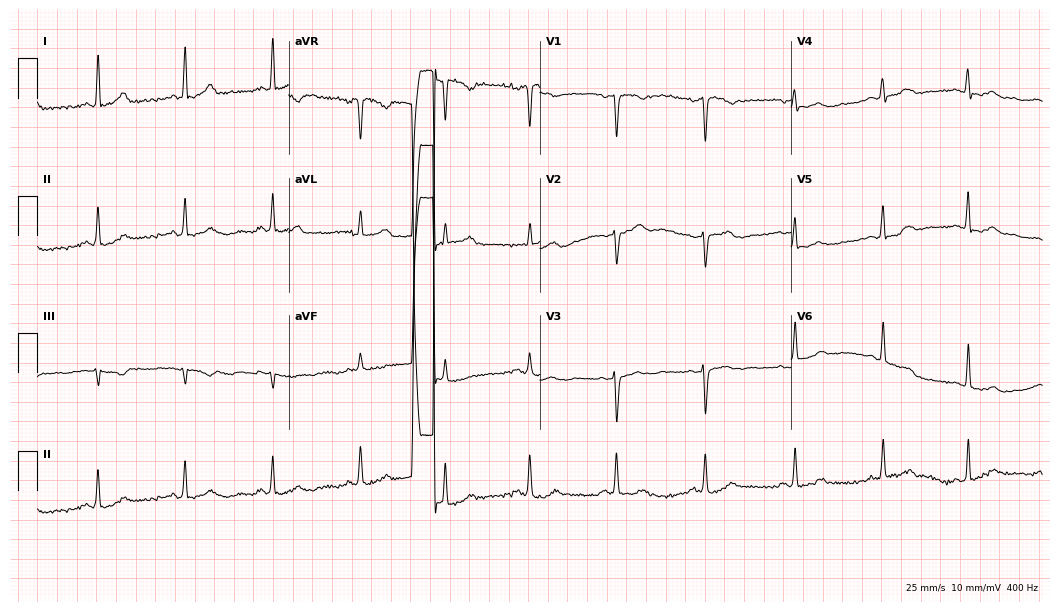
ECG — a 47-year-old female patient. Labelled as a normal ECG.